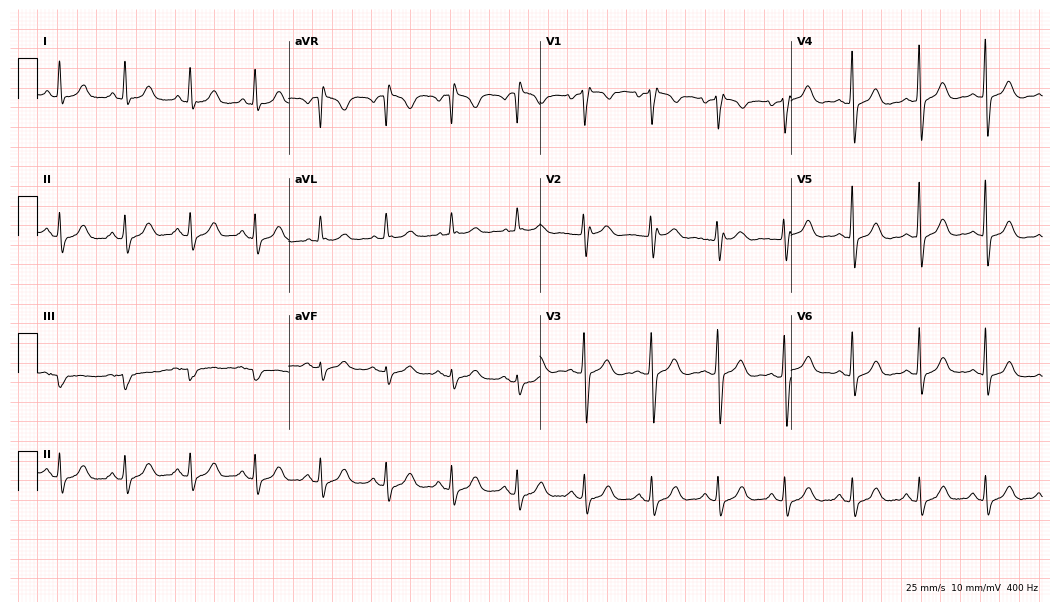
Resting 12-lead electrocardiogram (10.2-second recording at 400 Hz). Patient: a female, 49 years old. None of these six findings is recorded: first-degree AV block, right bundle branch block (RBBB), left bundle branch block (LBBB), sinus bradycardia, atrial fibrillation (AF), sinus tachycardia.